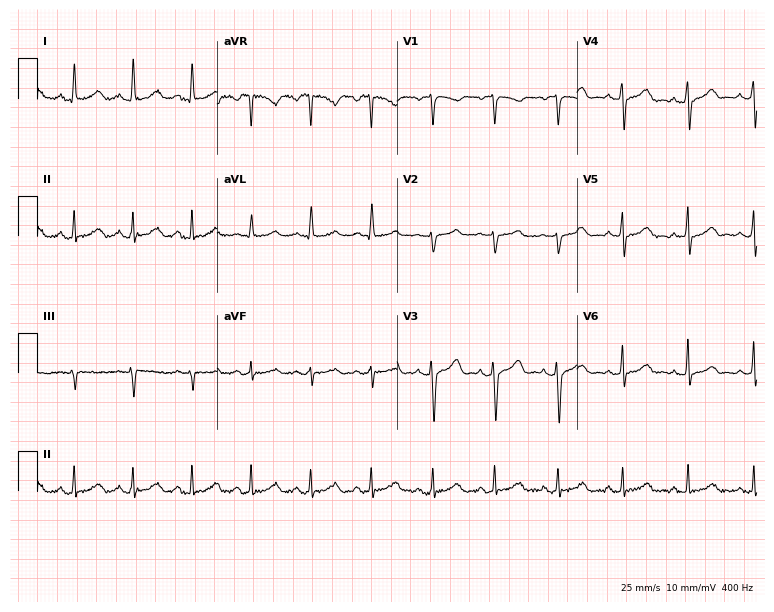
12-lead ECG (7.3-second recording at 400 Hz) from a 49-year-old female. Labelled as a normal ECG.